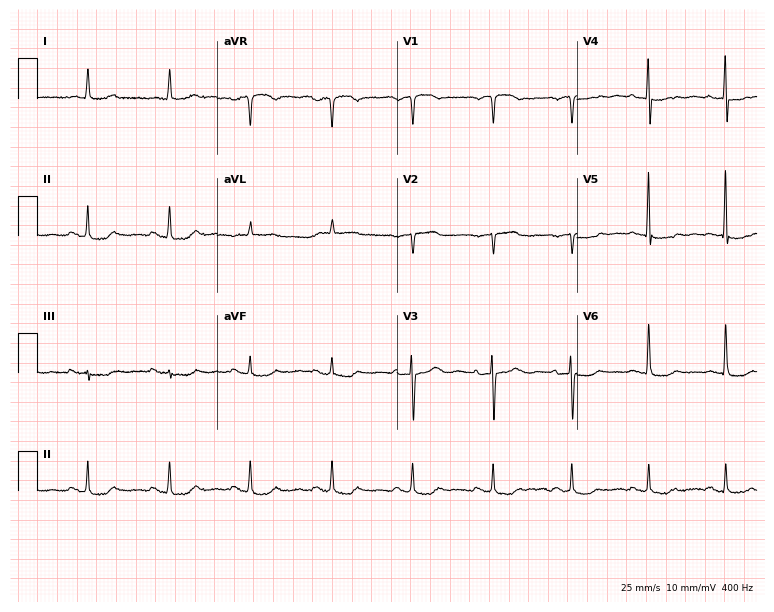
ECG — an 86-year-old woman. Screened for six findings — first-degree AV block, right bundle branch block (RBBB), left bundle branch block (LBBB), sinus bradycardia, atrial fibrillation (AF), sinus tachycardia — none is recorded.